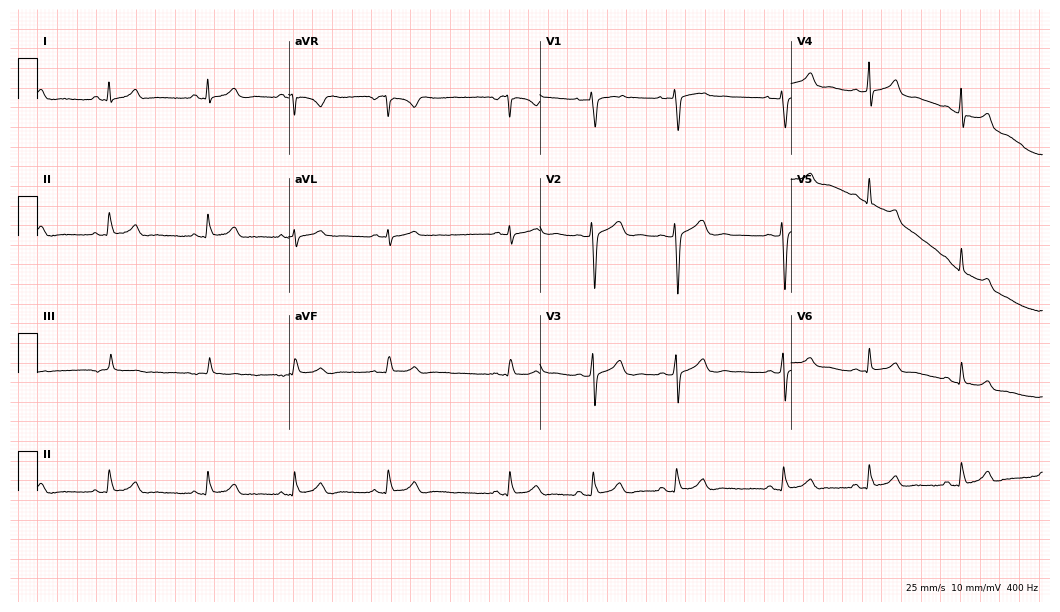
ECG — a woman, 20 years old. Screened for six findings — first-degree AV block, right bundle branch block (RBBB), left bundle branch block (LBBB), sinus bradycardia, atrial fibrillation (AF), sinus tachycardia — none is recorded. Findings outside these six are not listed.